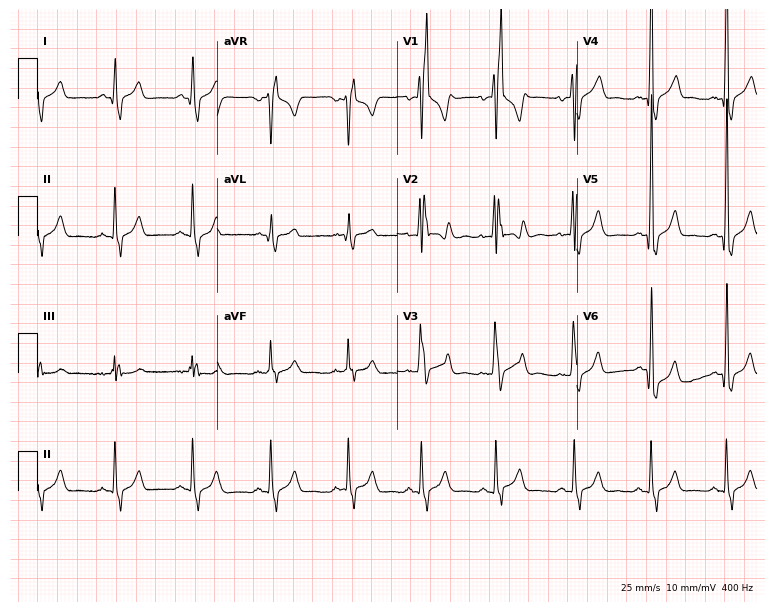
12-lead ECG from an 18-year-old man. No first-degree AV block, right bundle branch block (RBBB), left bundle branch block (LBBB), sinus bradycardia, atrial fibrillation (AF) or sinus tachycardia recorded for this tracing. Other findings, if any, are not listed.